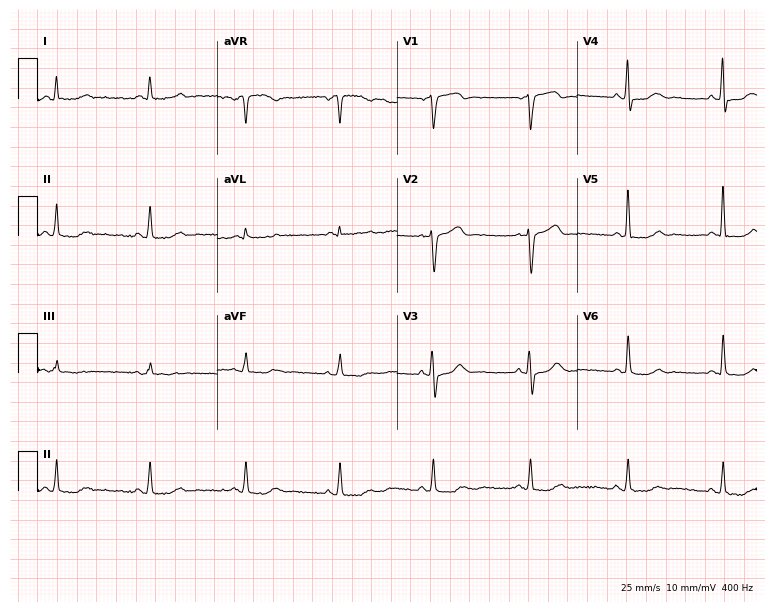
12-lead ECG (7.3-second recording at 400 Hz) from a 59-year-old male. Screened for six findings — first-degree AV block, right bundle branch block (RBBB), left bundle branch block (LBBB), sinus bradycardia, atrial fibrillation (AF), sinus tachycardia — none is recorded. Only these six findings were labelled.